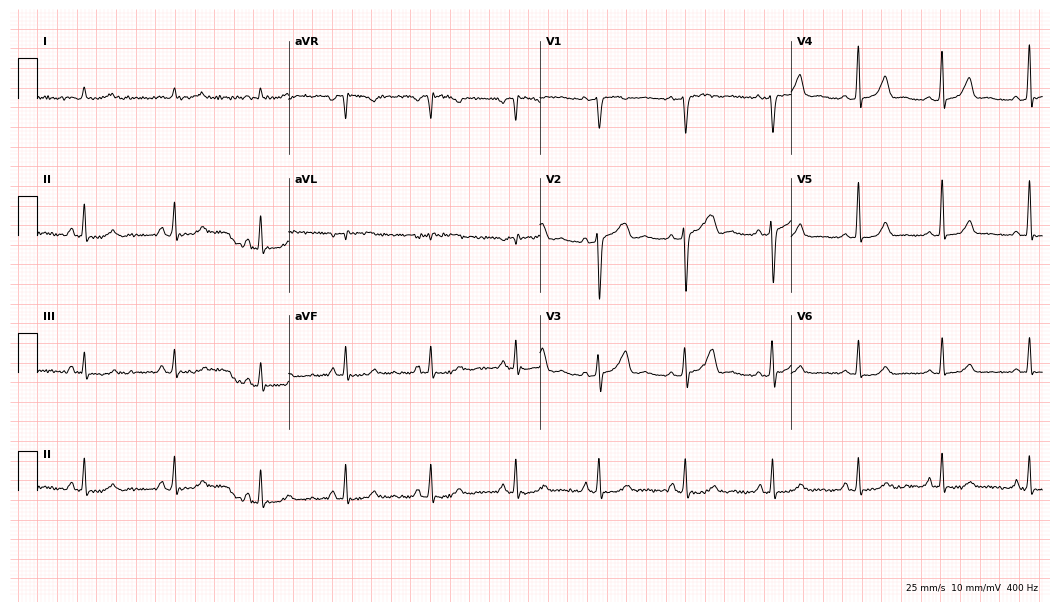
Electrocardiogram (10.2-second recording at 400 Hz), a 44-year-old male. Overall reading on record: normal ECG.